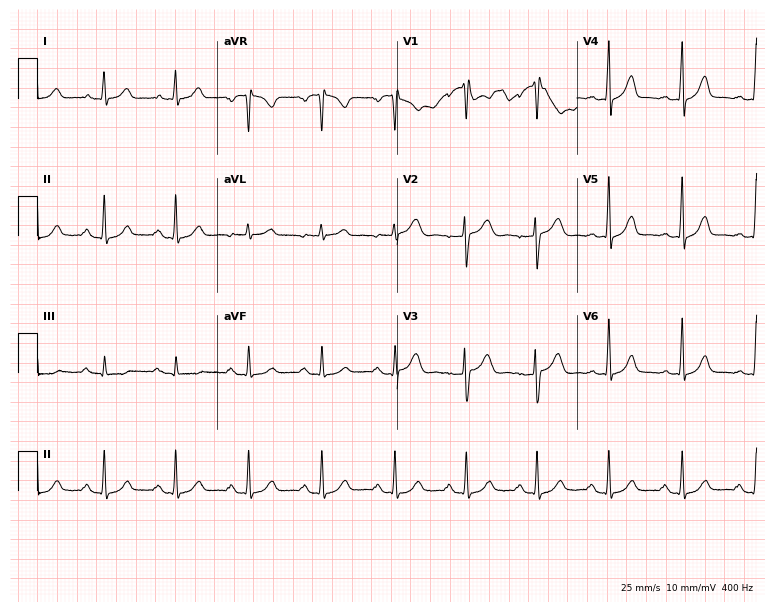
12-lead ECG (7.3-second recording at 400 Hz) from a female, 33 years old. Screened for six findings — first-degree AV block, right bundle branch block (RBBB), left bundle branch block (LBBB), sinus bradycardia, atrial fibrillation (AF), sinus tachycardia — none is recorded. Findings outside these six are not listed.